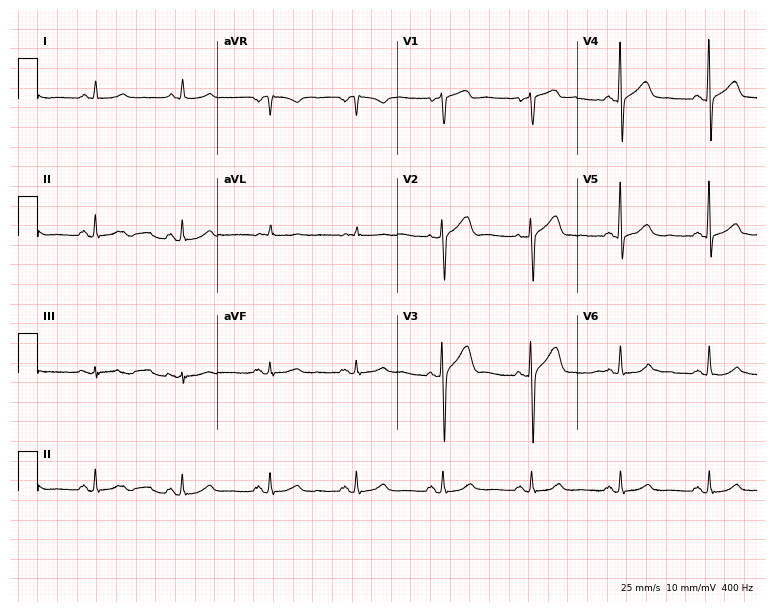
12-lead ECG from a 62-year-old man. Labelled as a normal ECG.